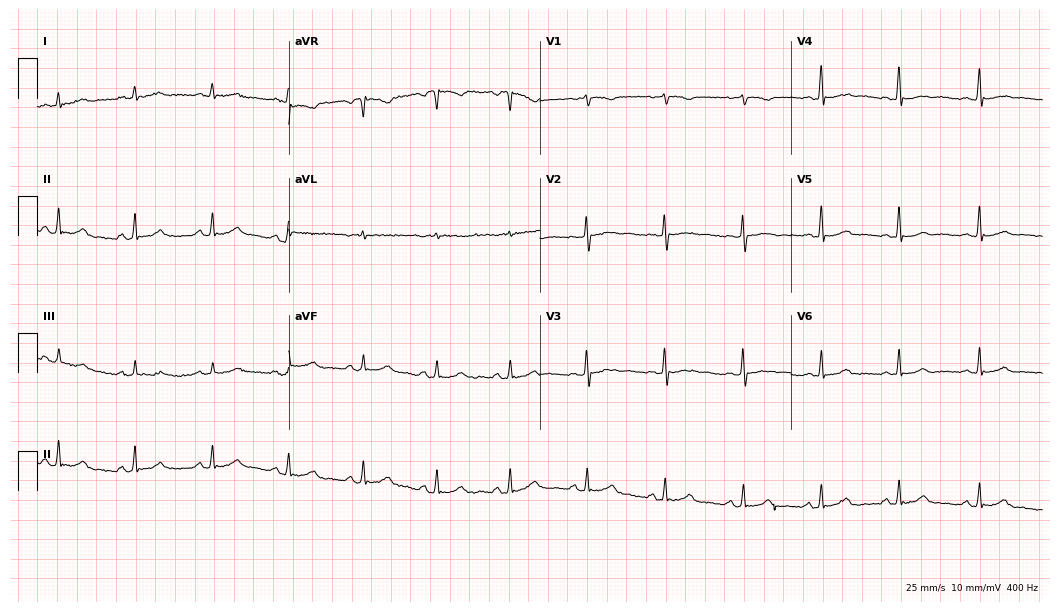
Resting 12-lead electrocardiogram (10.2-second recording at 400 Hz). Patient: a 27-year-old female. Read as a normal ECG.